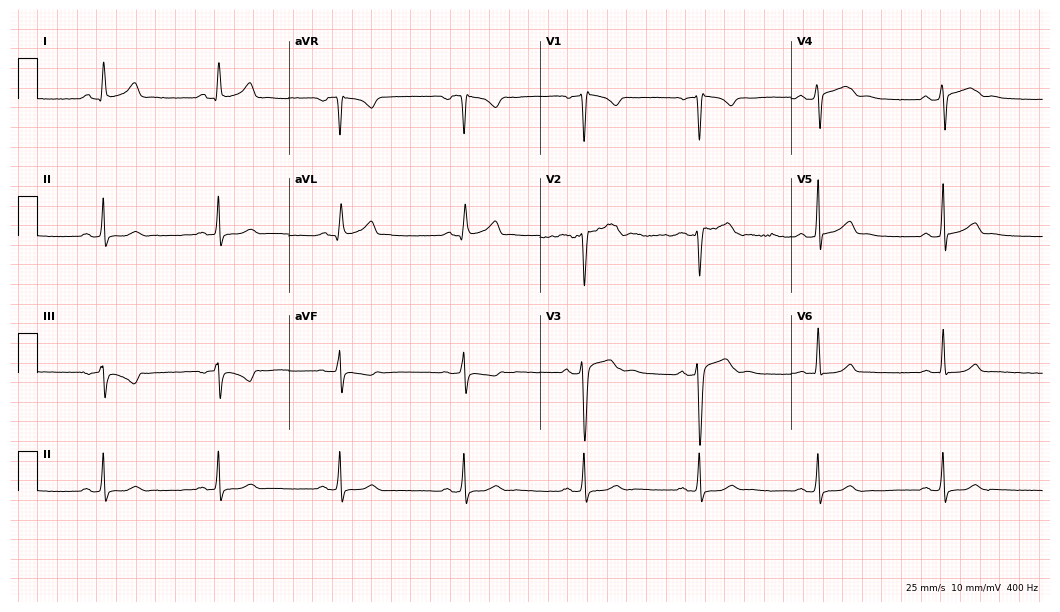
Standard 12-lead ECG recorded from a 41-year-old male patient. Read as a normal ECG.